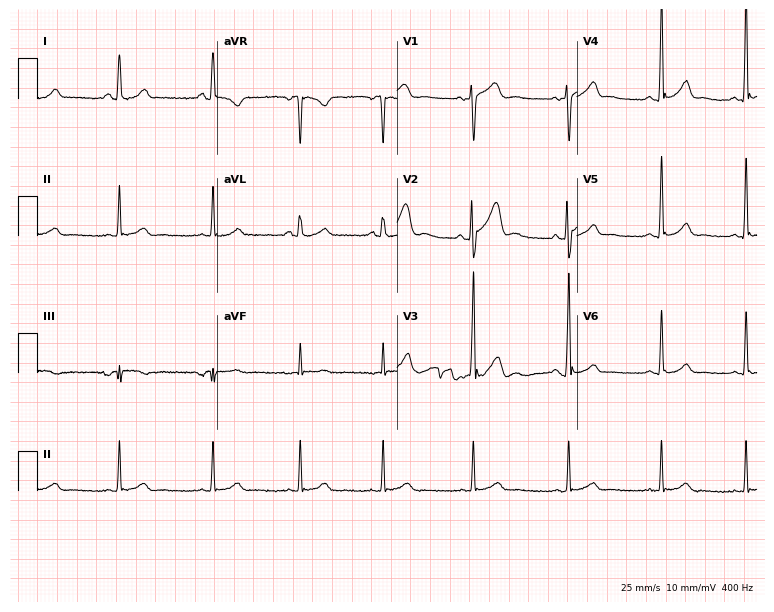
ECG — a man, 30 years old. Labelled as a normal ECG.